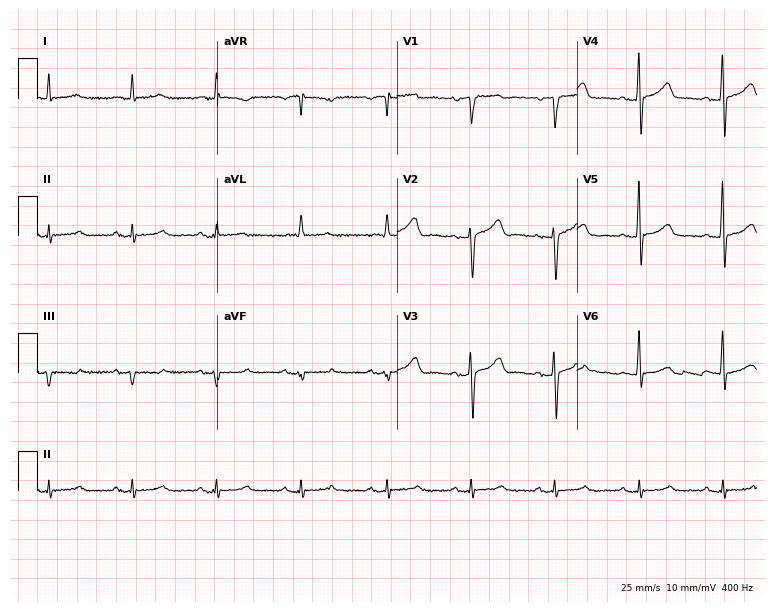
Electrocardiogram (7.3-second recording at 400 Hz), a male, 76 years old. Of the six screened findings (first-degree AV block, right bundle branch block (RBBB), left bundle branch block (LBBB), sinus bradycardia, atrial fibrillation (AF), sinus tachycardia), none is recorded.